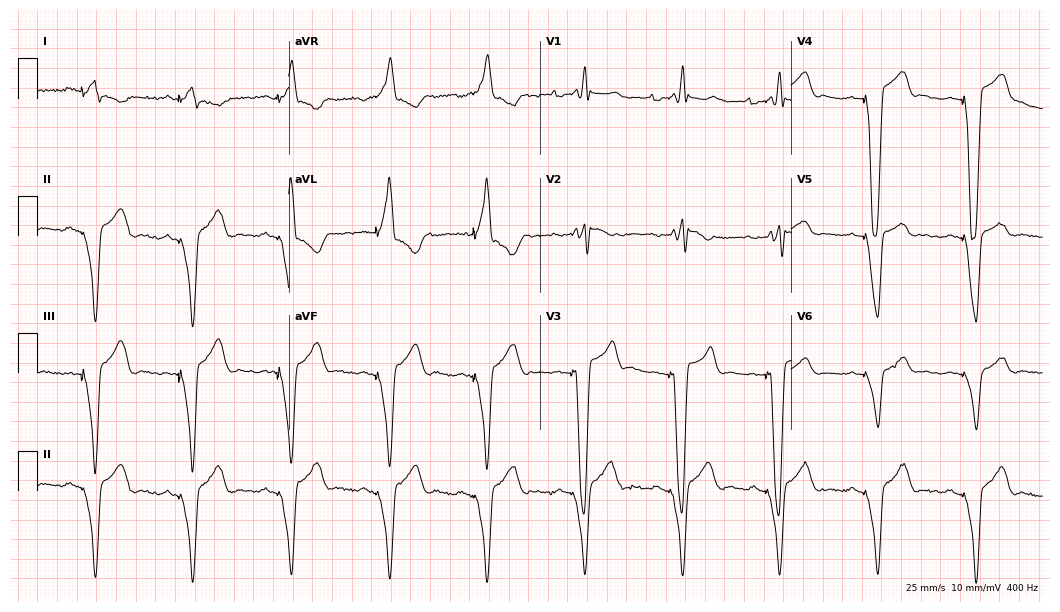
12-lead ECG from a 24-year-old male. No first-degree AV block, right bundle branch block, left bundle branch block, sinus bradycardia, atrial fibrillation or sinus tachycardia recorded for this tracing.